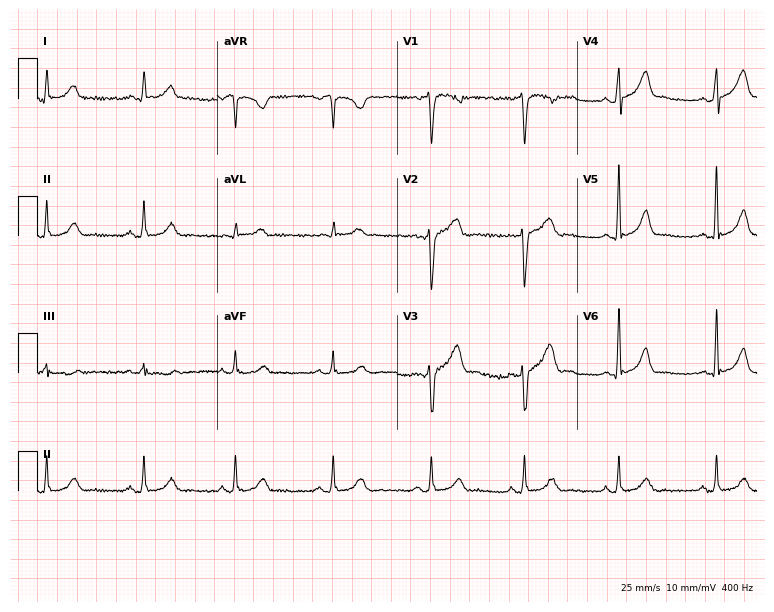
Standard 12-lead ECG recorded from a 46-year-old man (7.3-second recording at 400 Hz). None of these six findings is recorded: first-degree AV block, right bundle branch block (RBBB), left bundle branch block (LBBB), sinus bradycardia, atrial fibrillation (AF), sinus tachycardia.